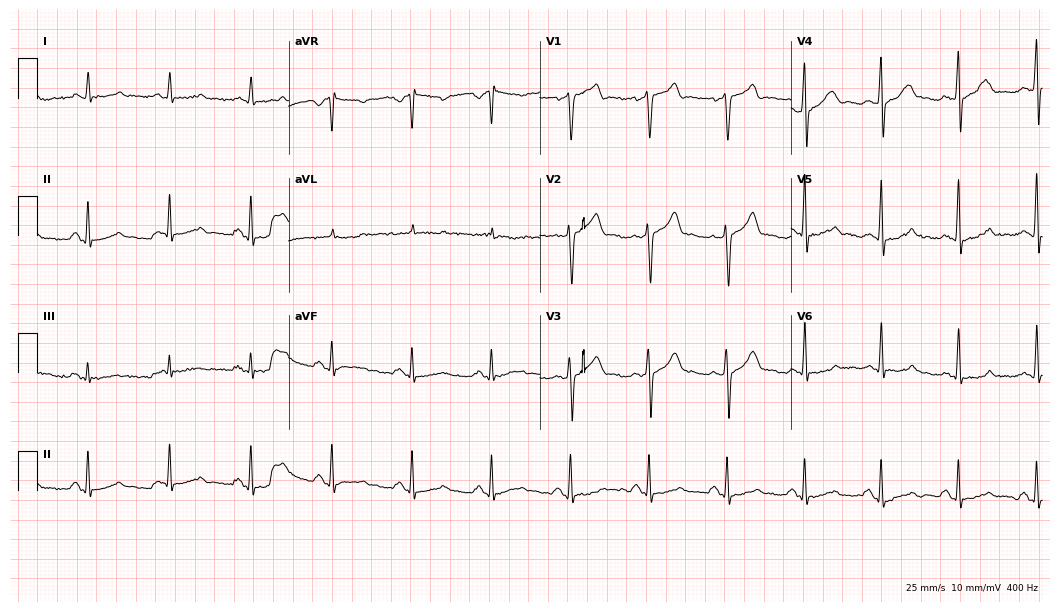
Resting 12-lead electrocardiogram. Patient: a 46-year-old female. None of these six findings is recorded: first-degree AV block, right bundle branch block, left bundle branch block, sinus bradycardia, atrial fibrillation, sinus tachycardia. Only these six findings were labelled.